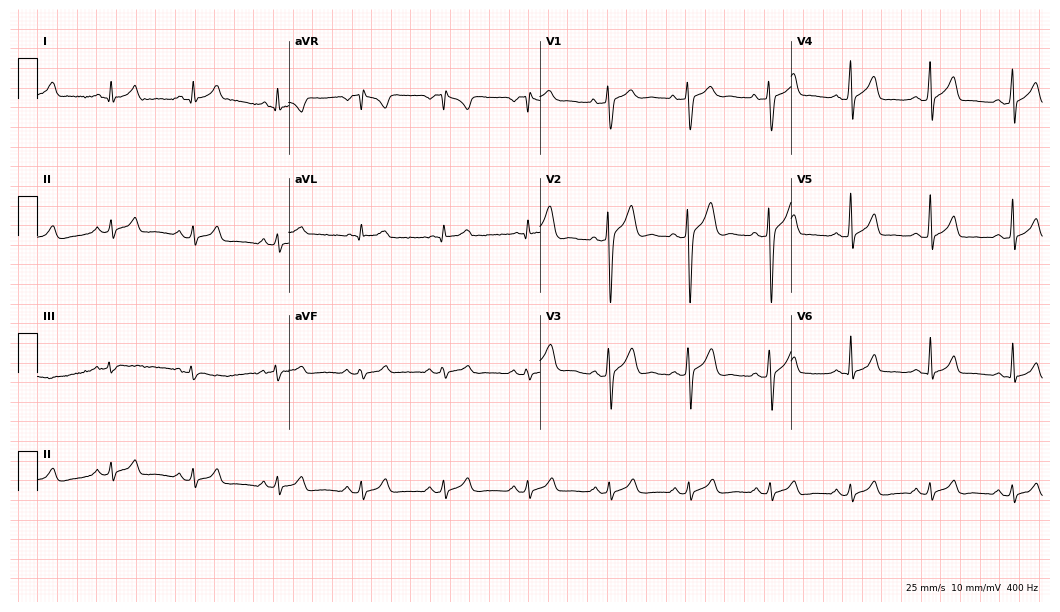
Electrocardiogram (10.2-second recording at 400 Hz), a 22-year-old man. Overall reading on record: normal ECG.